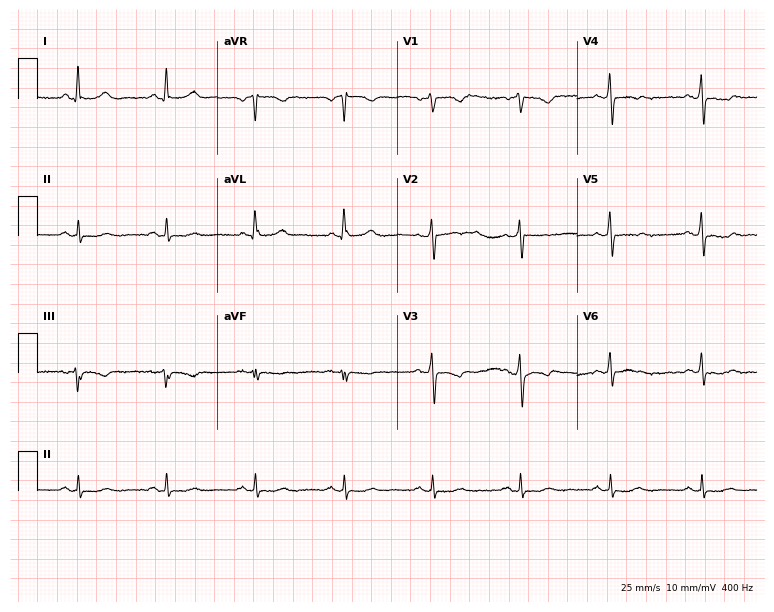
Standard 12-lead ECG recorded from a female patient, 59 years old. None of these six findings is recorded: first-degree AV block, right bundle branch block, left bundle branch block, sinus bradycardia, atrial fibrillation, sinus tachycardia.